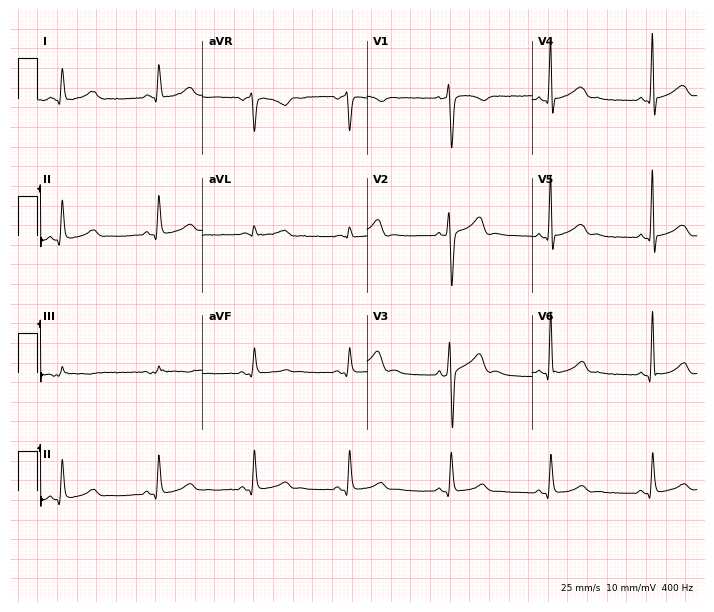
Resting 12-lead electrocardiogram (6.7-second recording at 400 Hz). Patient: a man, 44 years old. Read as a normal ECG.